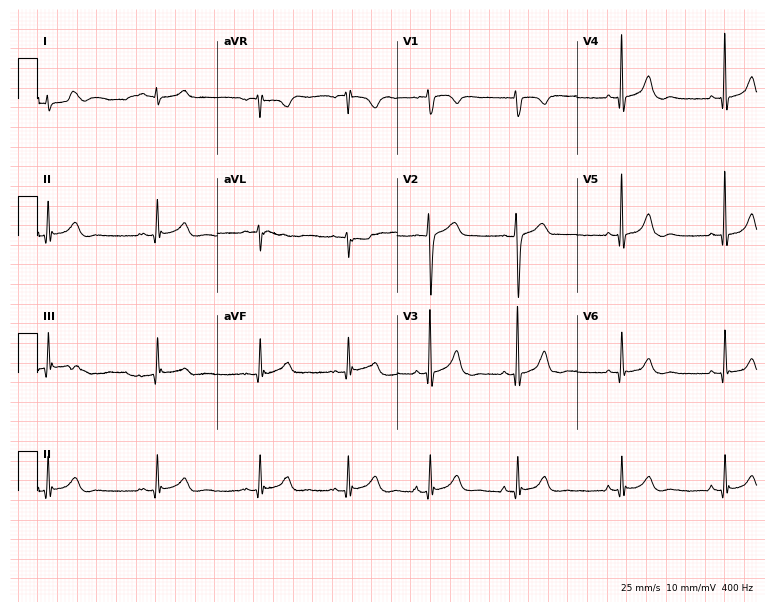
Electrocardiogram (7.3-second recording at 400 Hz), a 29-year-old male. Overall reading on record: normal ECG.